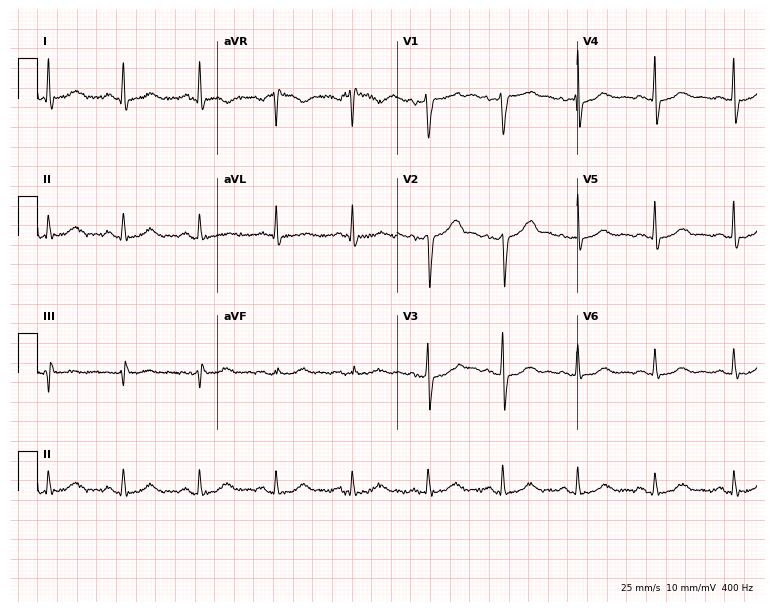
12-lead ECG from a female, 57 years old. No first-degree AV block, right bundle branch block, left bundle branch block, sinus bradycardia, atrial fibrillation or sinus tachycardia recorded for this tracing.